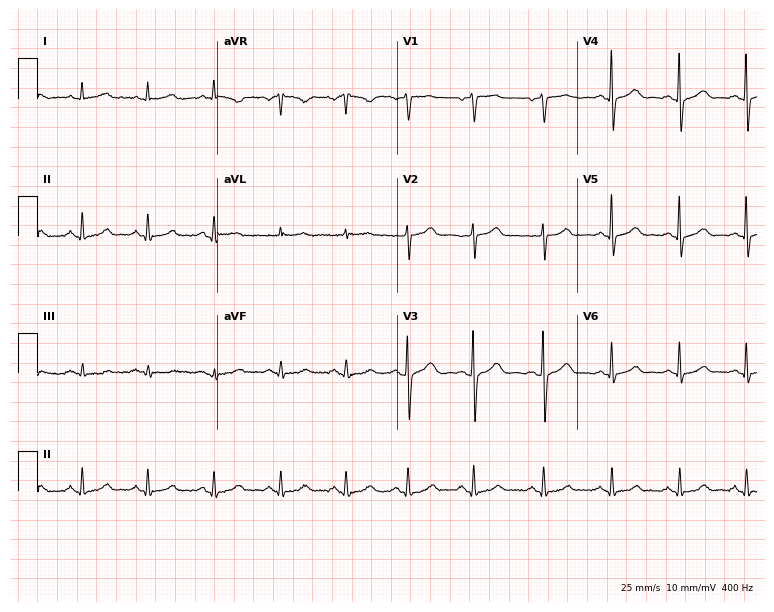
Electrocardiogram, a female, 63 years old. Overall reading on record: normal ECG.